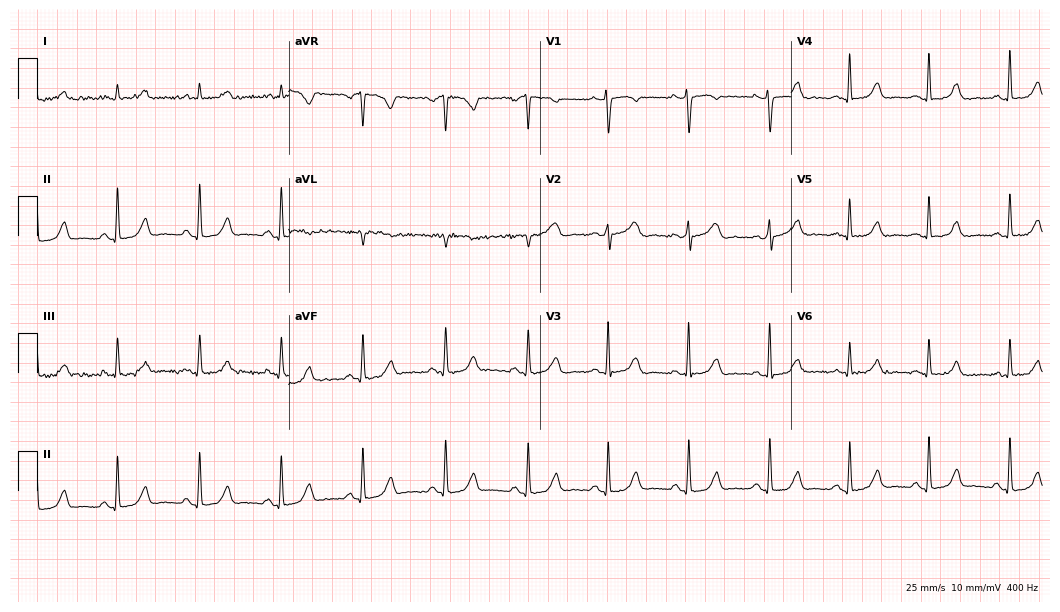
12-lead ECG from a woman, 49 years old (10.2-second recording at 400 Hz). No first-degree AV block, right bundle branch block, left bundle branch block, sinus bradycardia, atrial fibrillation or sinus tachycardia recorded for this tracing. Findings outside these six are not listed.